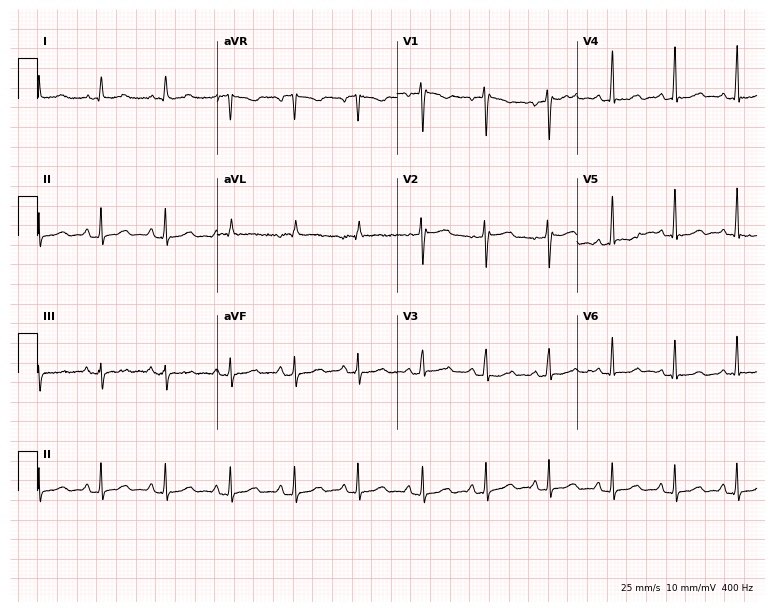
12-lead ECG from a woman, 40 years old. Labelled as a normal ECG.